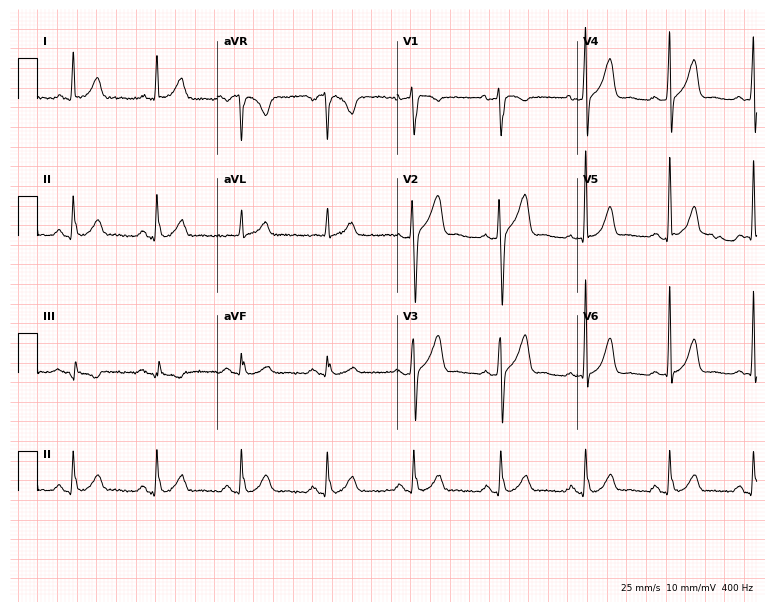
Standard 12-lead ECG recorded from a male patient, 75 years old. Read as a normal ECG.